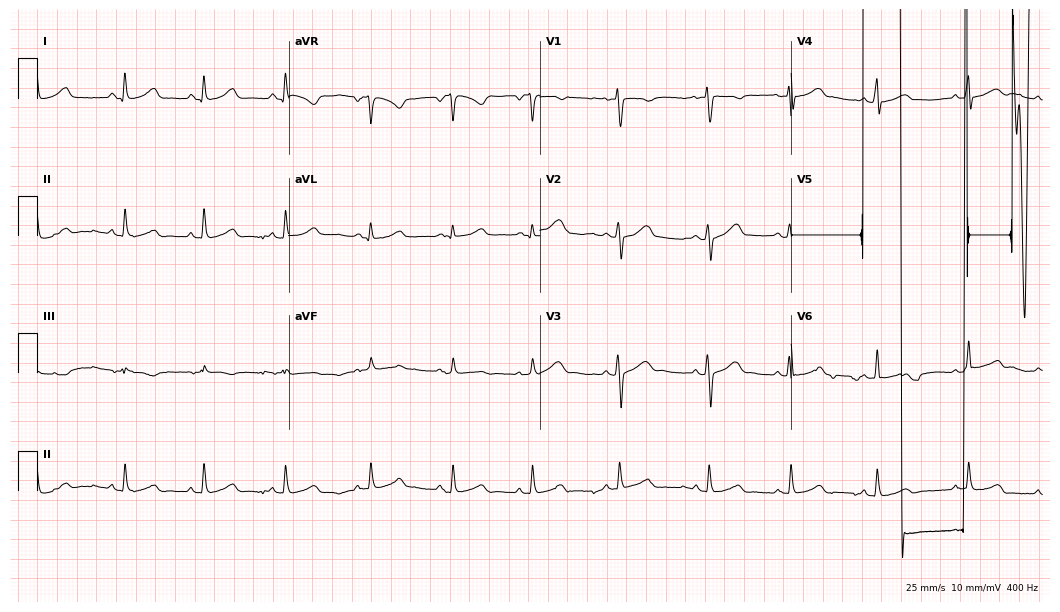
12-lead ECG from a woman, 22 years old. No first-degree AV block, right bundle branch block, left bundle branch block, sinus bradycardia, atrial fibrillation or sinus tachycardia recorded for this tracing. Other findings, if any, are not listed.